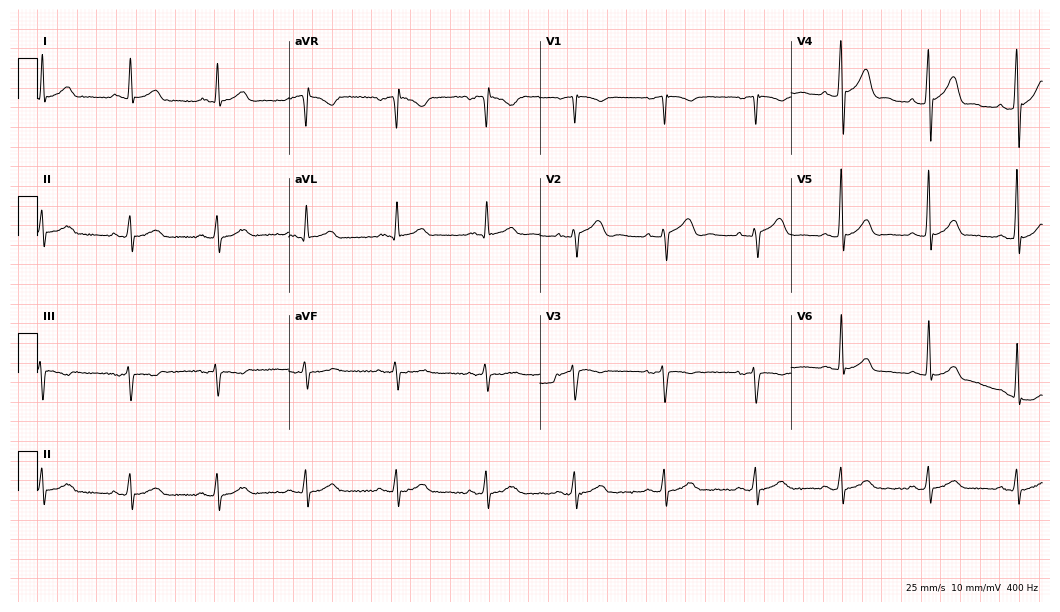
ECG (10.2-second recording at 400 Hz) — a 41-year-old male. Screened for six findings — first-degree AV block, right bundle branch block, left bundle branch block, sinus bradycardia, atrial fibrillation, sinus tachycardia — none is recorded.